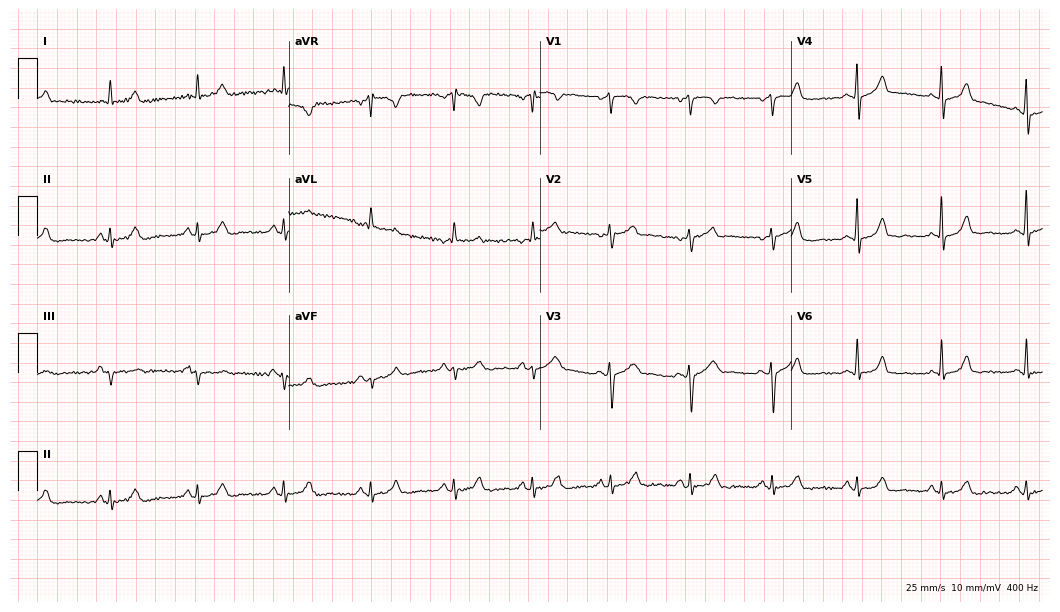
Electrocardiogram, a female patient, 57 years old. Overall reading on record: normal ECG.